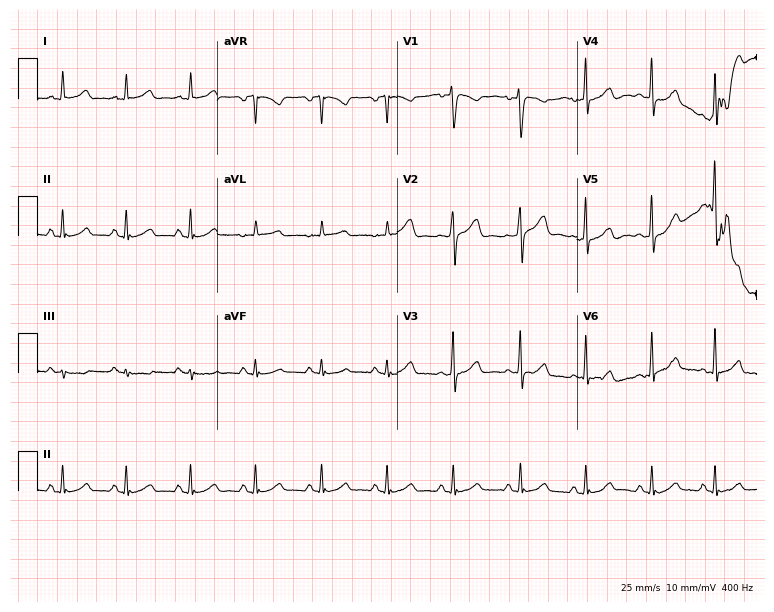
Resting 12-lead electrocardiogram. Patient: a 37-year-old female. Read as a normal ECG.